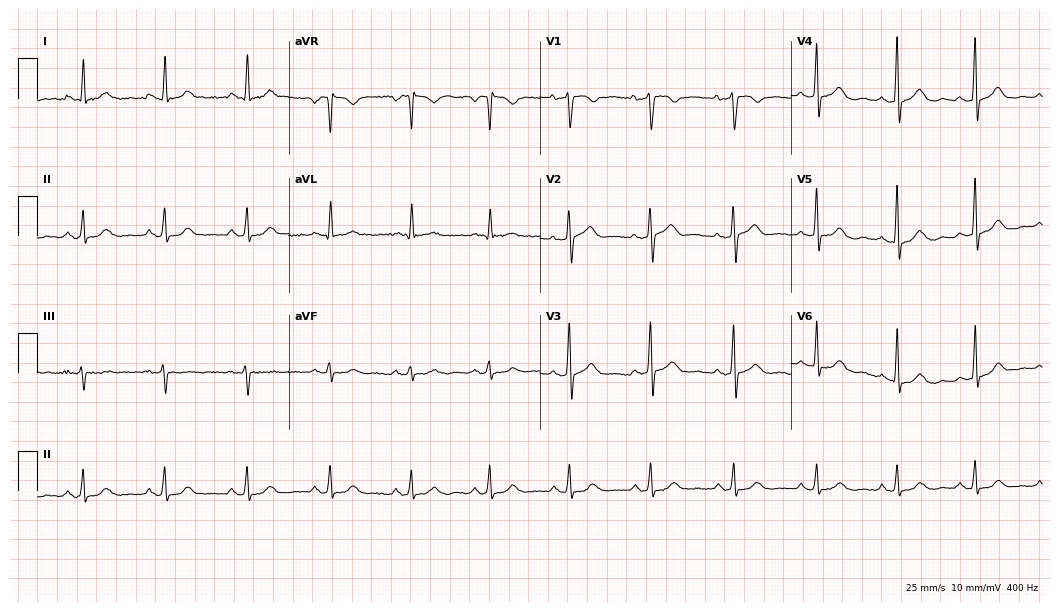
Electrocardiogram (10.2-second recording at 400 Hz), a female patient, 42 years old. Overall reading on record: normal ECG.